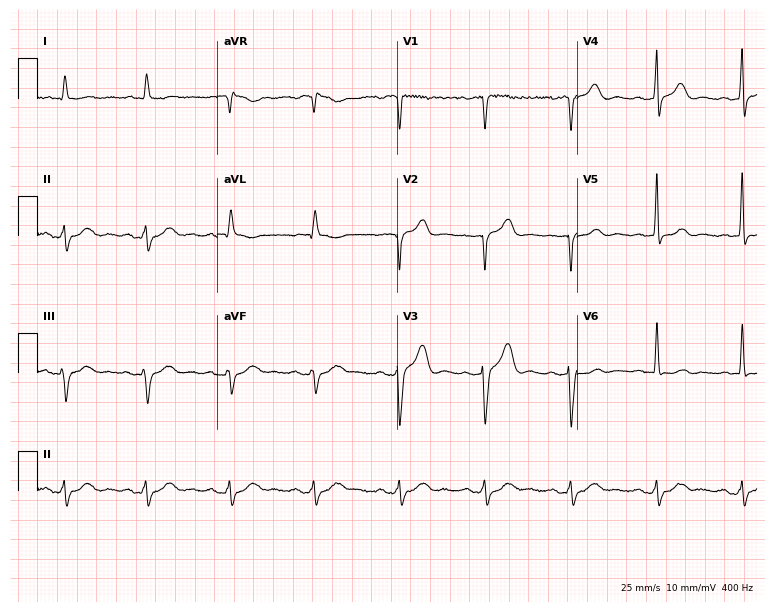
Resting 12-lead electrocardiogram. Patient: an 80-year-old male. None of these six findings is recorded: first-degree AV block, right bundle branch block, left bundle branch block, sinus bradycardia, atrial fibrillation, sinus tachycardia. Findings outside these six are not listed.